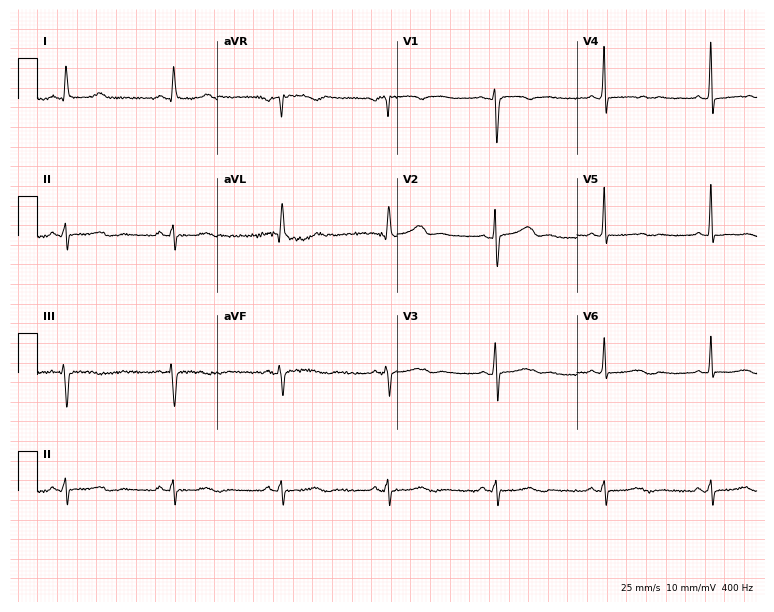
12-lead ECG from a female patient, 52 years old (7.3-second recording at 400 Hz). No first-degree AV block, right bundle branch block, left bundle branch block, sinus bradycardia, atrial fibrillation or sinus tachycardia recorded for this tracing. Findings outside these six are not listed.